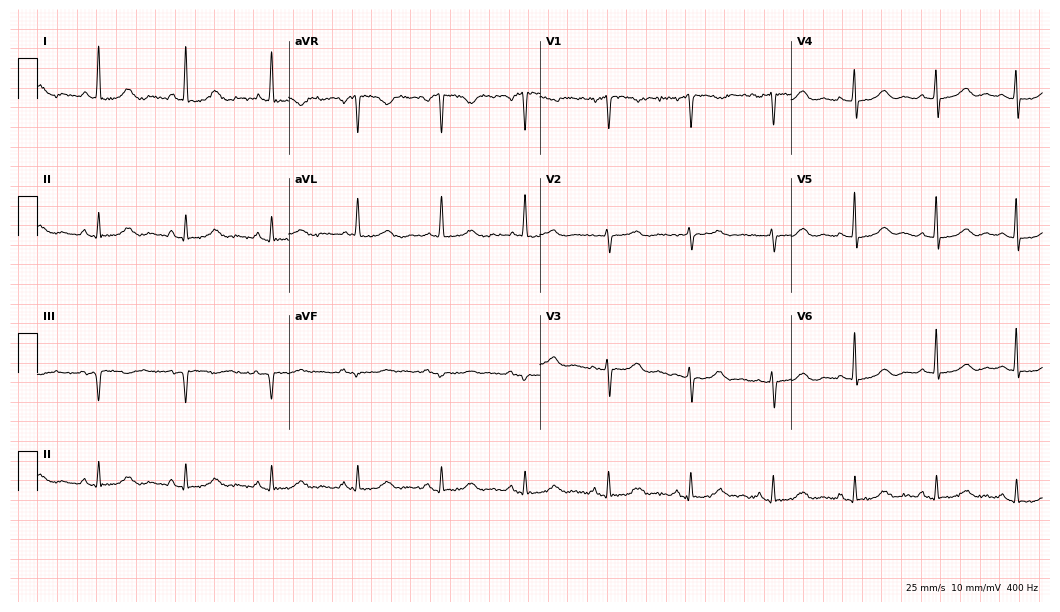
Standard 12-lead ECG recorded from a female, 56 years old. Read as a normal ECG.